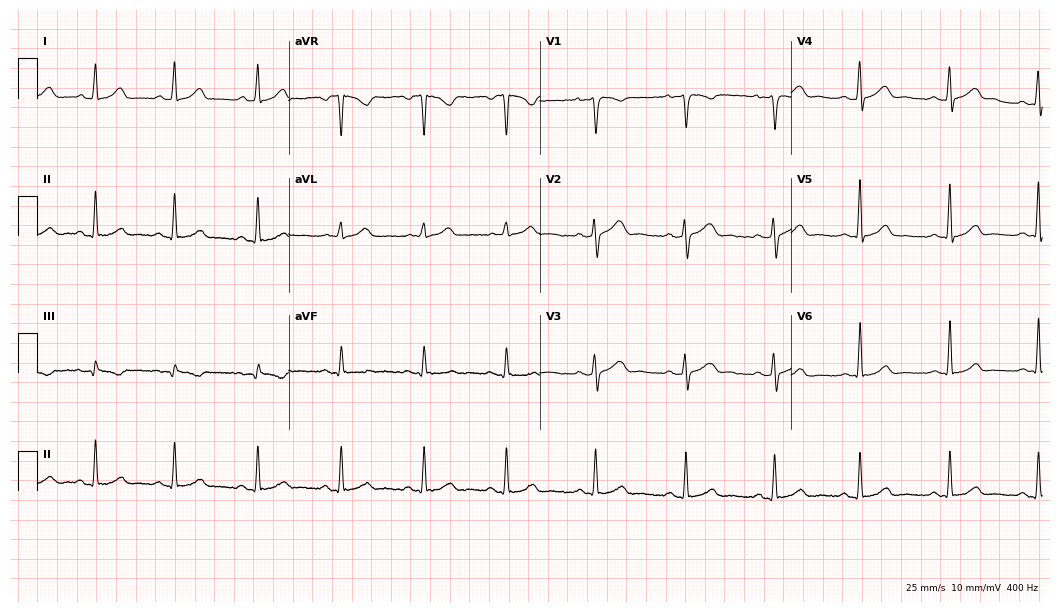
12-lead ECG from a female, 37 years old. Recorded interpretation: within normal limits.